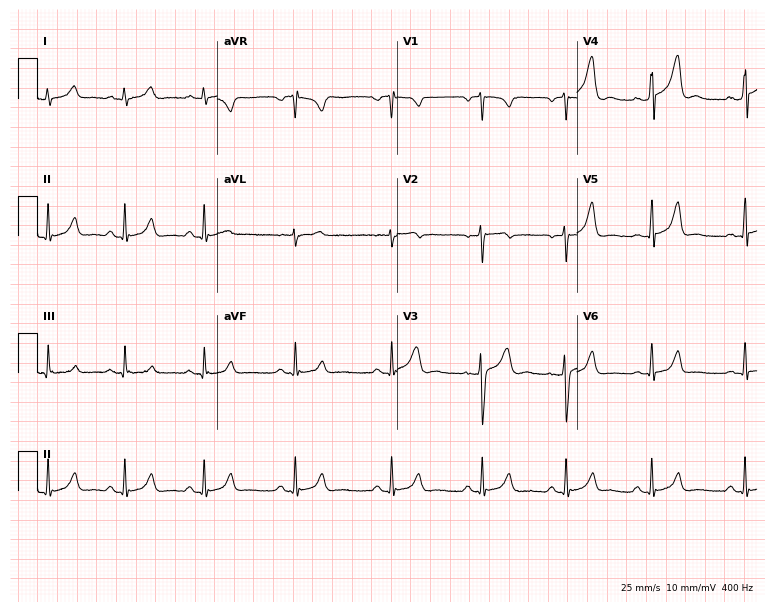
ECG (7.3-second recording at 400 Hz) — a male, 24 years old. Screened for six findings — first-degree AV block, right bundle branch block (RBBB), left bundle branch block (LBBB), sinus bradycardia, atrial fibrillation (AF), sinus tachycardia — none is recorded. Findings outside these six are not listed.